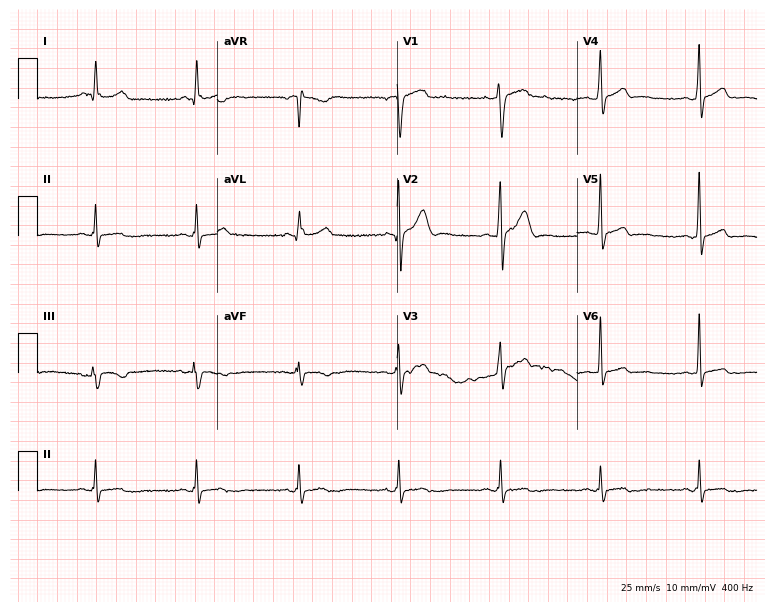
Electrocardiogram (7.3-second recording at 400 Hz), a male, 29 years old. Overall reading on record: normal ECG.